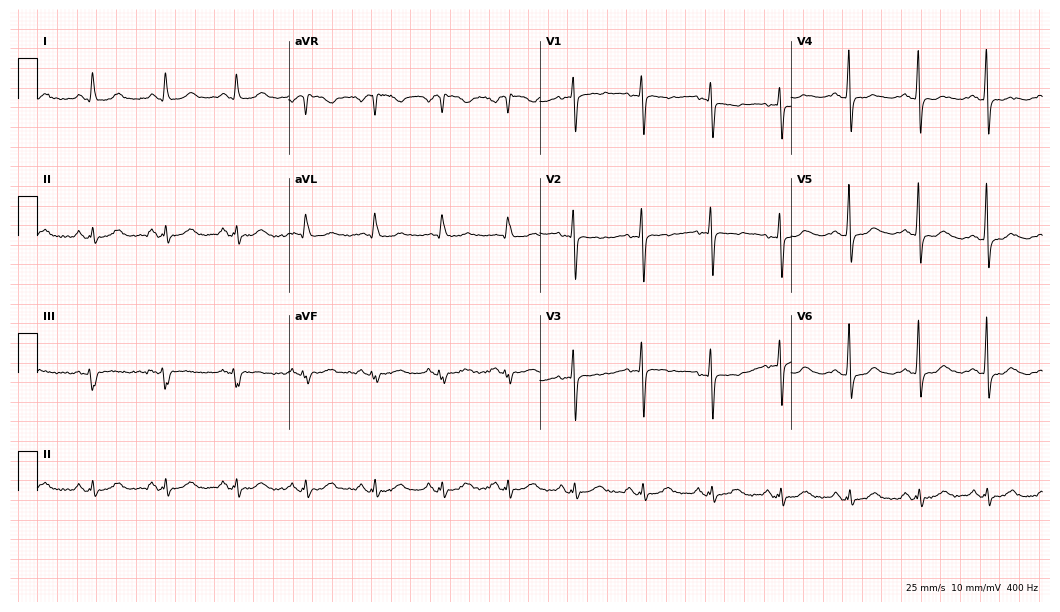
ECG (10.2-second recording at 400 Hz) — a 68-year-old woman. Screened for six findings — first-degree AV block, right bundle branch block, left bundle branch block, sinus bradycardia, atrial fibrillation, sinus tachycardia — none is recorded.